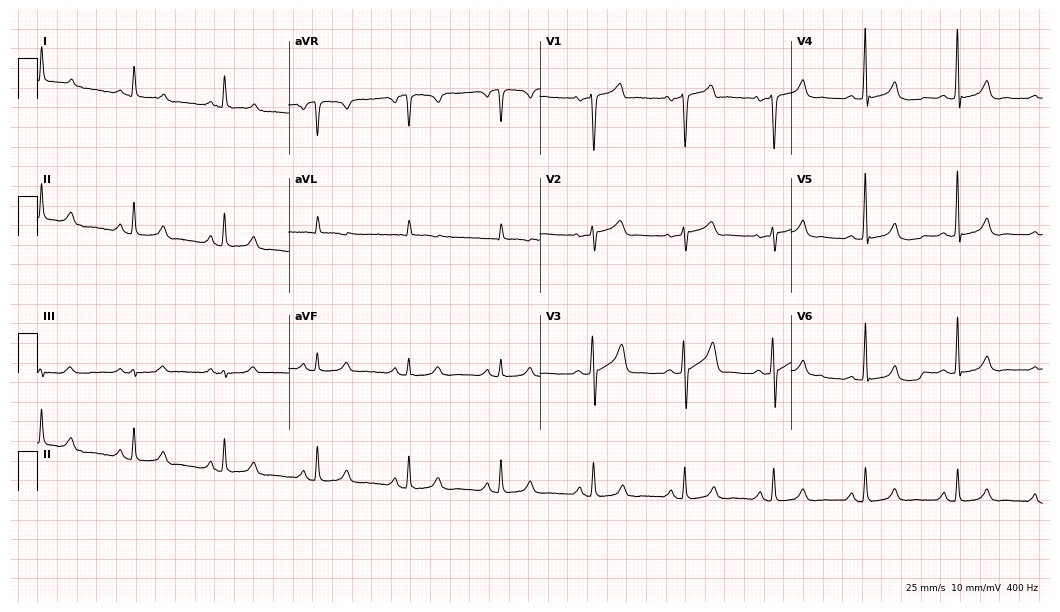
Resting 12-lead electrocardiogram (10.2-second recording at 400 Hz). Patient: a 60-year-old man. Read as a normal ECG.